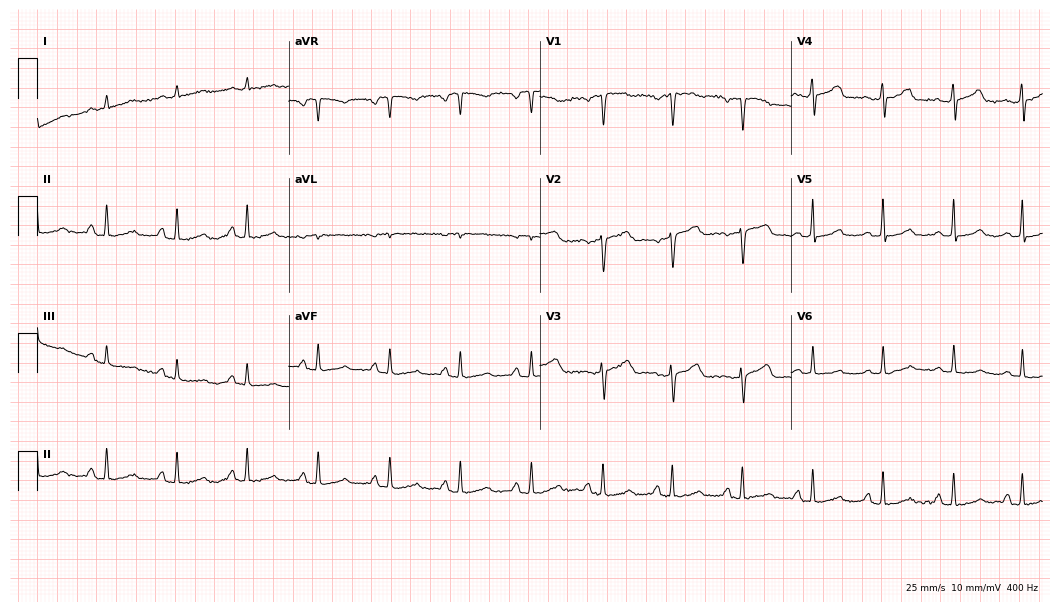
Standard 12-lead ECG recorded from a 51-year-old female patient. None of these six findings is recorded: first-degree AV block, right bundle branch block (RBBB), left bundle branch block (LBBB), sinus bradycardia, atrial fibrillation (AF), sinus tachycardia.